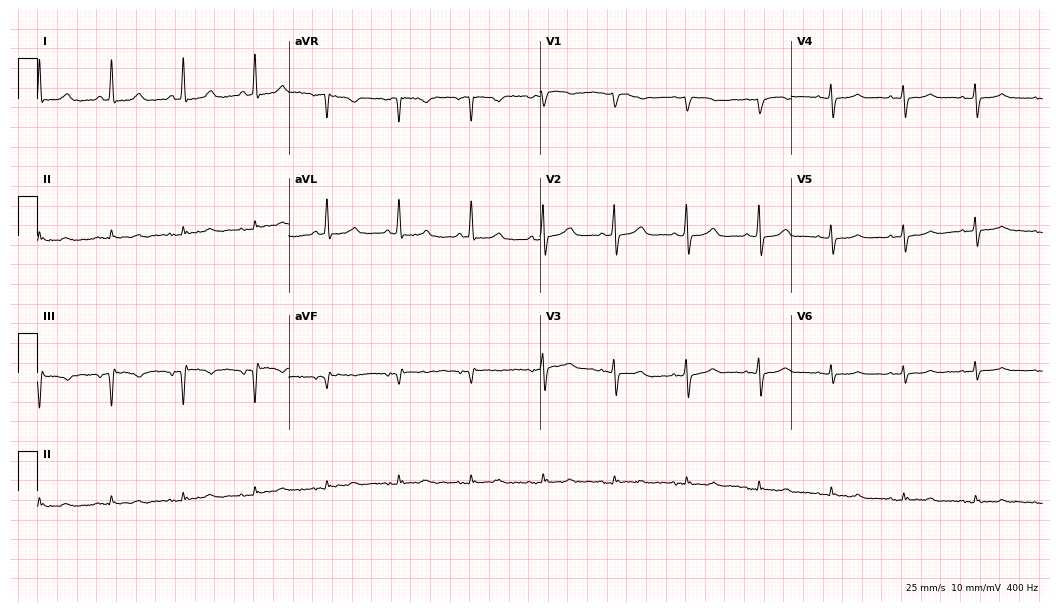
12-lead ECG from a 74-year-old female. Recorded interpretation: within normal limits.